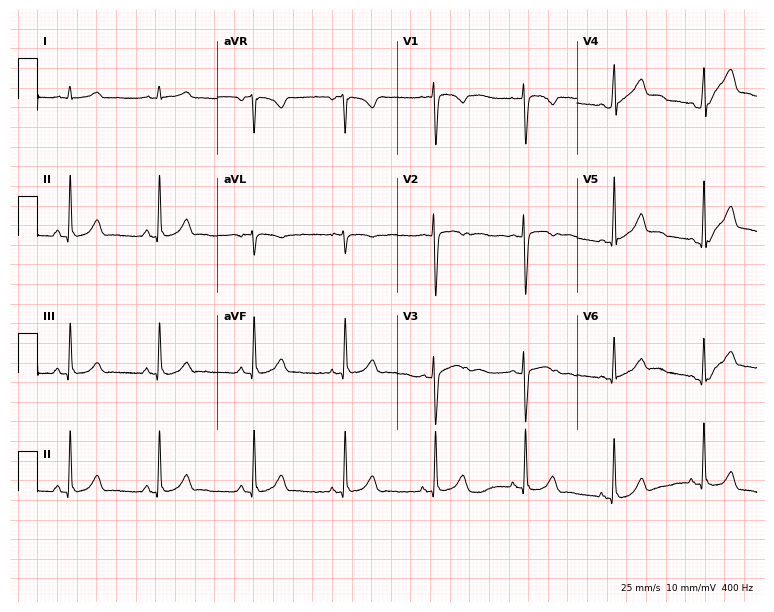
12-lead ECG from a 32-year-old female. Screened for six findings — first-degree AV block, right bundle branch block (RBBB), left bundle branch block (LBBB), sinus bradycardia, atrial fibrillation (AF), sinus tachycardia — none is recorded.